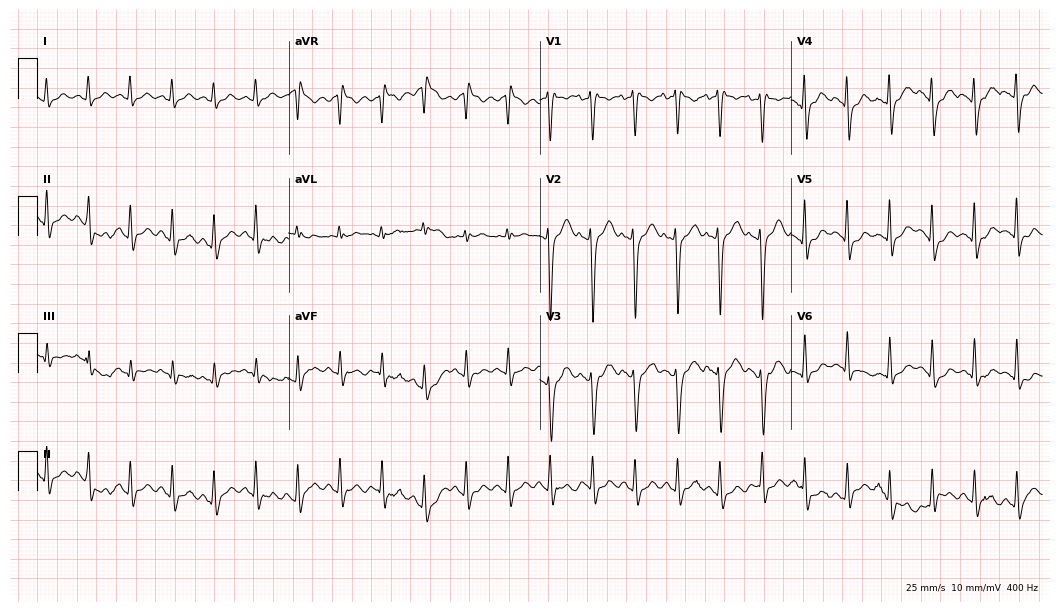
Electrocardiogram, a man, 23 years old. Interpretation includes sinus tachycardia (a sinus rate of 100 beats per minute or more).